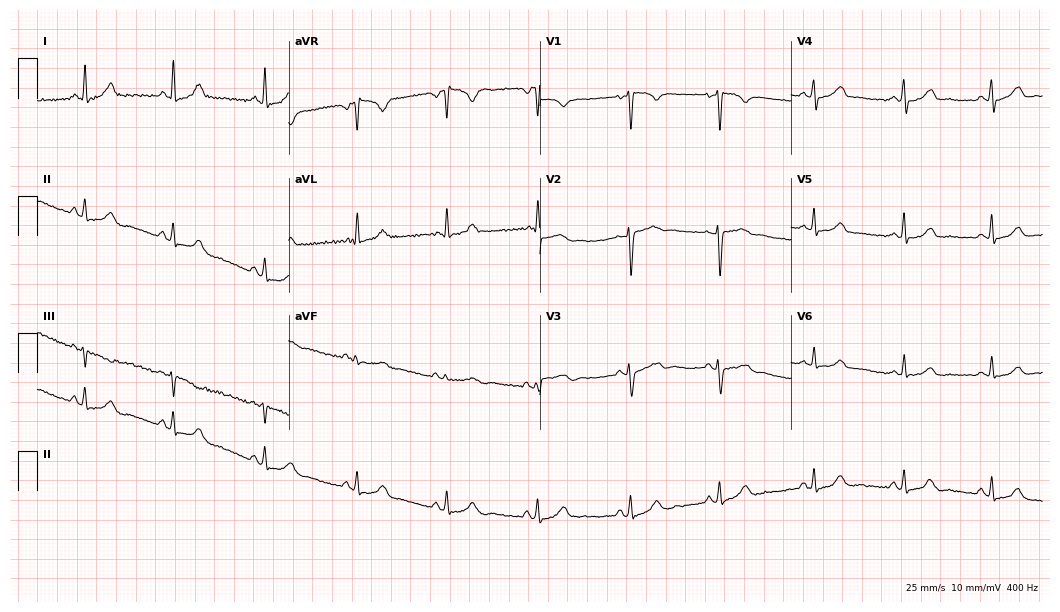
12-lead ECG (10.2-second recording at 400 Hz) from a woman, 33 years old. Screened for six findings — first-degree AV block, right bundle branch block (RBBB), left bundle branch block (LBBB), sinus bradycardia, atrial fibrillation (AF), sinus tachycardia — none is recorded. Other findings, if any, are not listed.